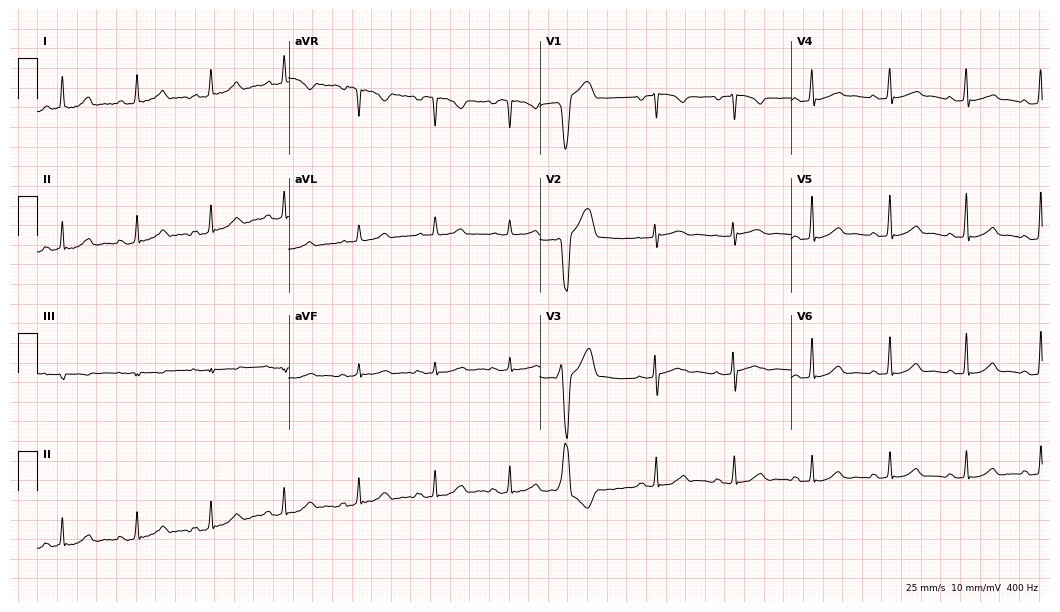
12-lead ECG (10.2-second recording at 400 Hz) from a woman, 57 years old. Labelled as a normal ECG.